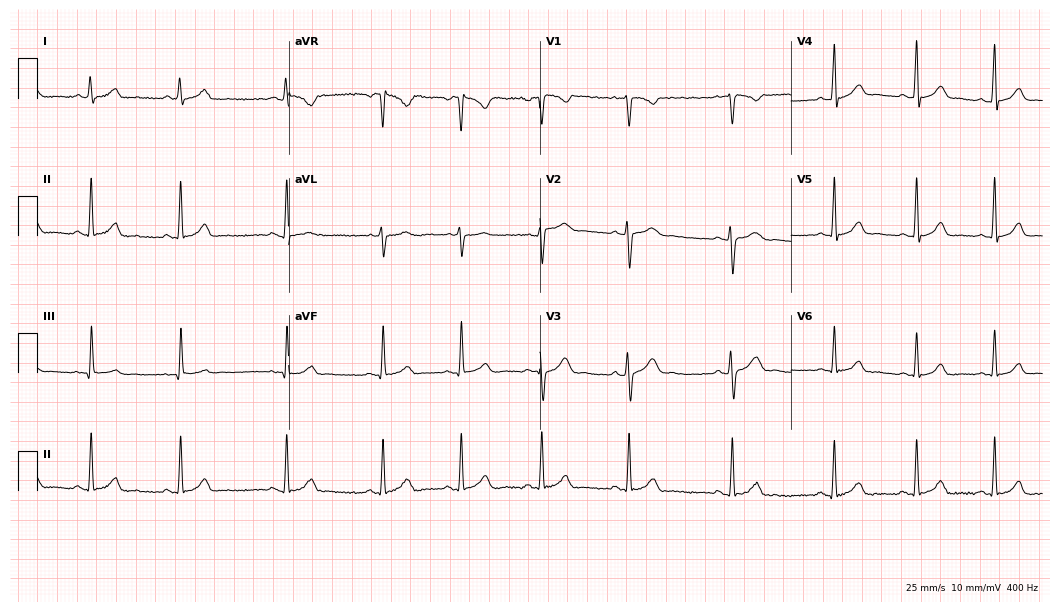
ECG (10.2-second recording at 400 Hz) — a 20-year-old female. Screened for six findings — first-degree AV block, right bundle branch block, left bundle branch block, sinus bradycardia, atrial fibrillation, sinus tachycardia — none is recorded. Only these six findings were labelled.